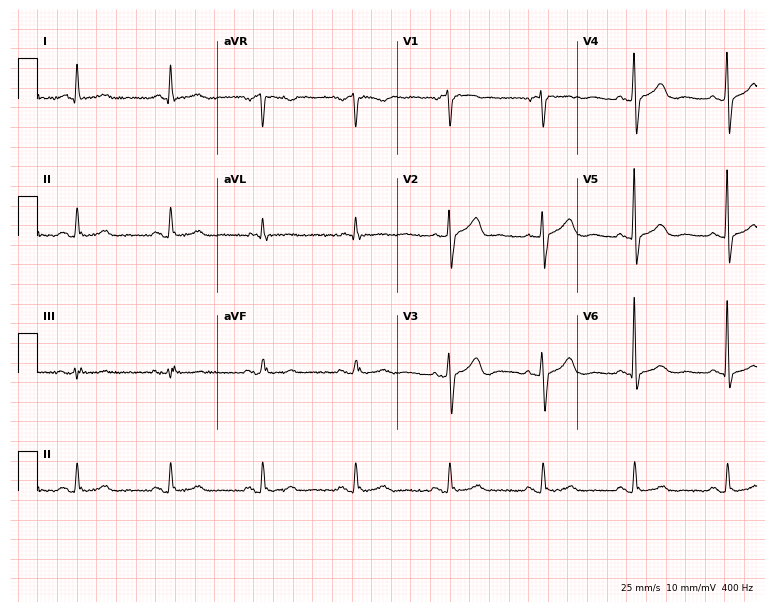
Standard 12-lead ECG recorded from a male, 65 years old. Read as a normal ECG.